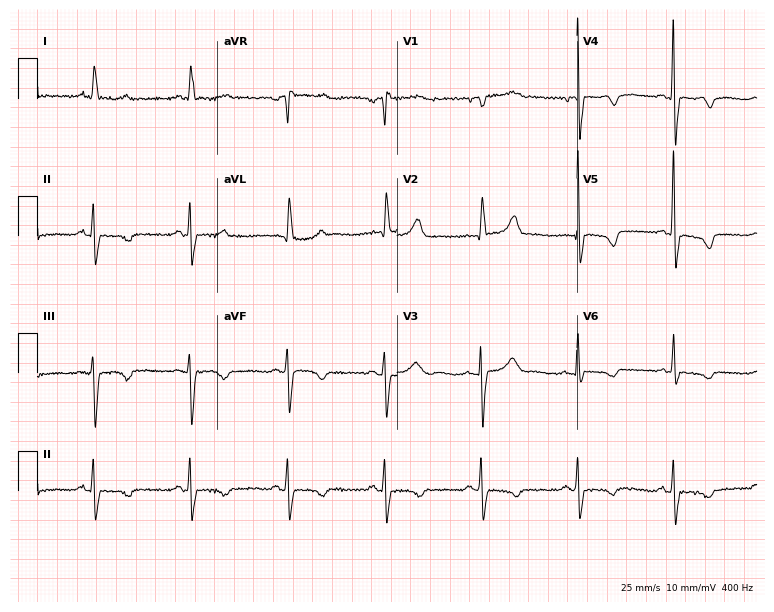
ECG (7.3-second recording at 400 Hz) — a 76-year-old woman. Screened for six findings — first-degree AV block, right bundle branch block (RBBB), left bundle branch block (LBBB), sinus bradycardia, atrial fibrillation (AF), sinus tachycardia — none is recorded.